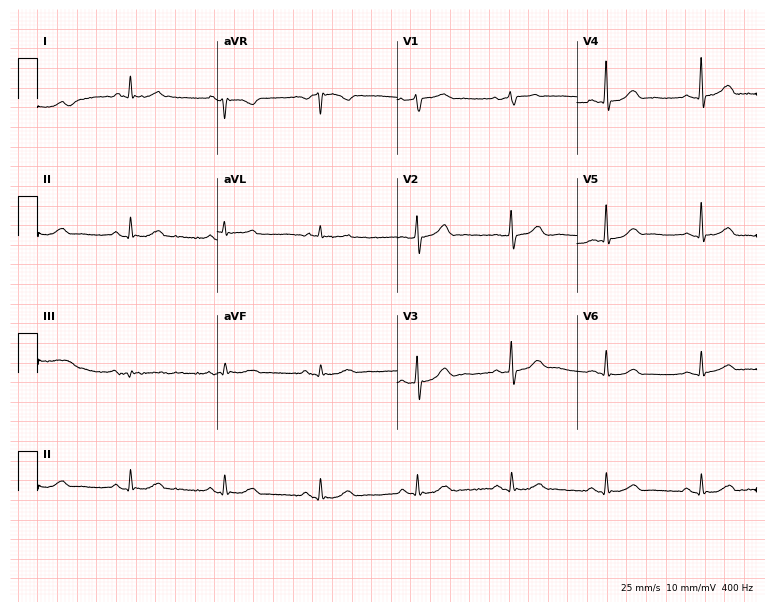
Standard 12-lead ECG recorded from a male patient, 82 years old. None of these six findings is recorded: first-degree AV block, right bundle branch block, left bundle branch block, sinus bradycardia, atrial fibrillation, sinus tachycardia. Findings outside these six are not listed.